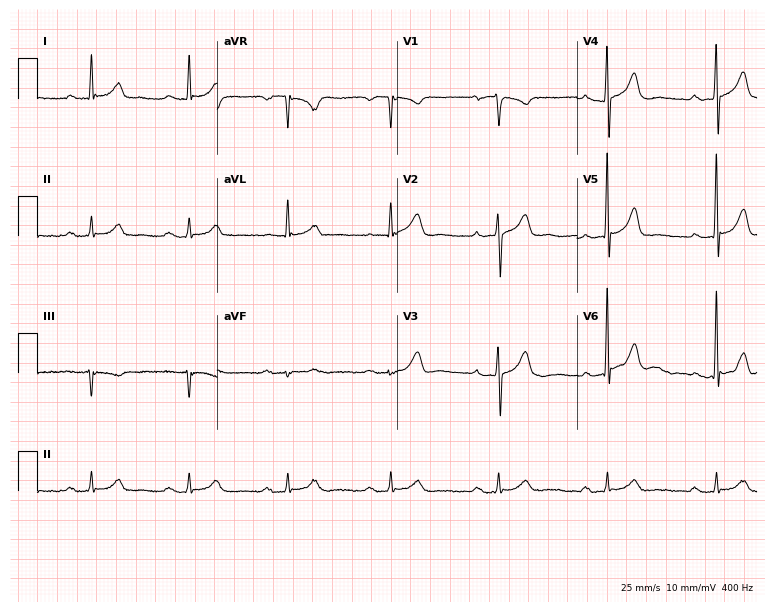
12-lead ECG from a man, 45 years old. Shows first-degree AV block.